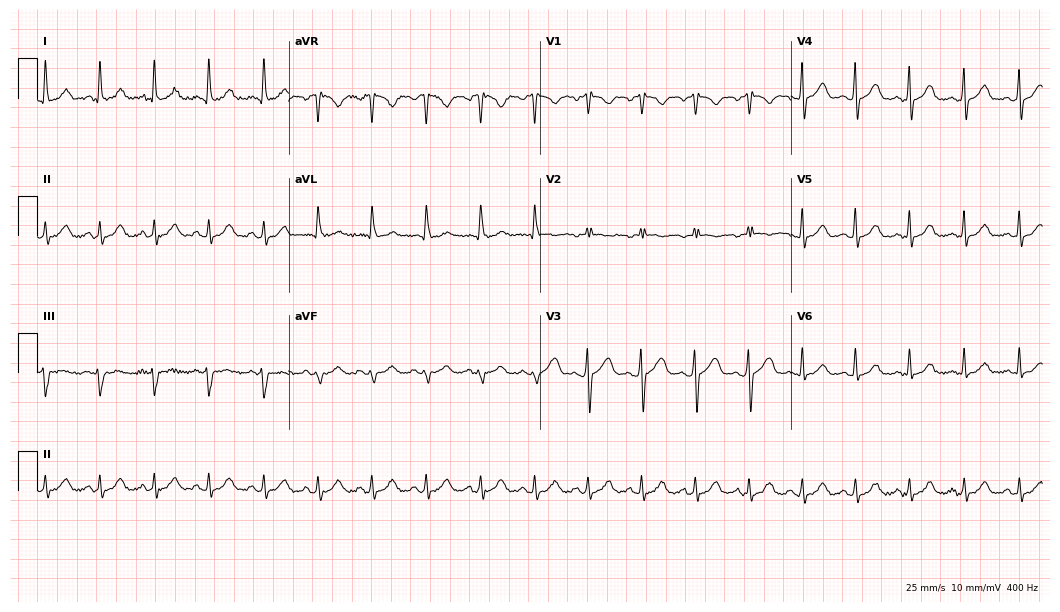
Resting 12-lead electrocardiogram. Patient: a 37-year-old woman. The tracing shows sinus tachycardia (a sinus rate of 100 beats per minute or more).